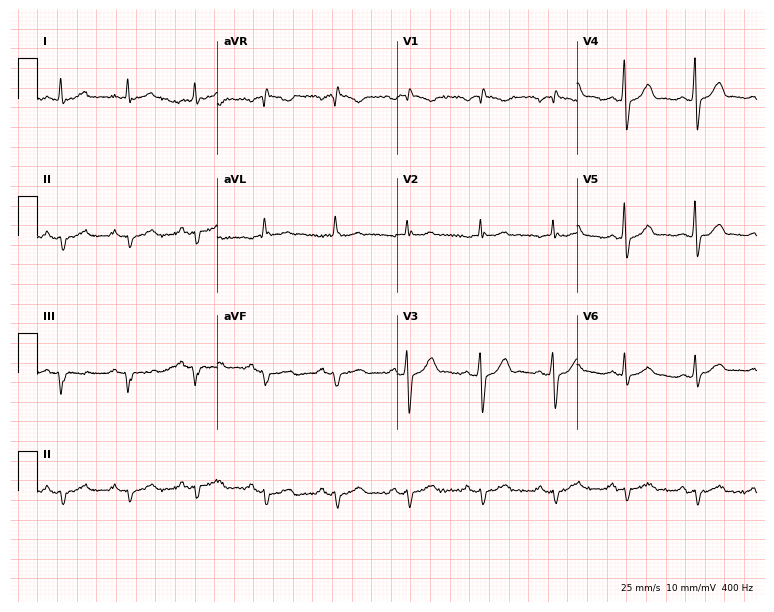
Standard 12-lead ECG recorded from a 67-year-old male. None of these six findings is recorded: first-degree AV block, right bundle branch block (RBBB), left bundle branch block (LBBB), sinus bradycardia, atrial fibrillation (AF), sinus tachycardia. Only these six findings were labelled.